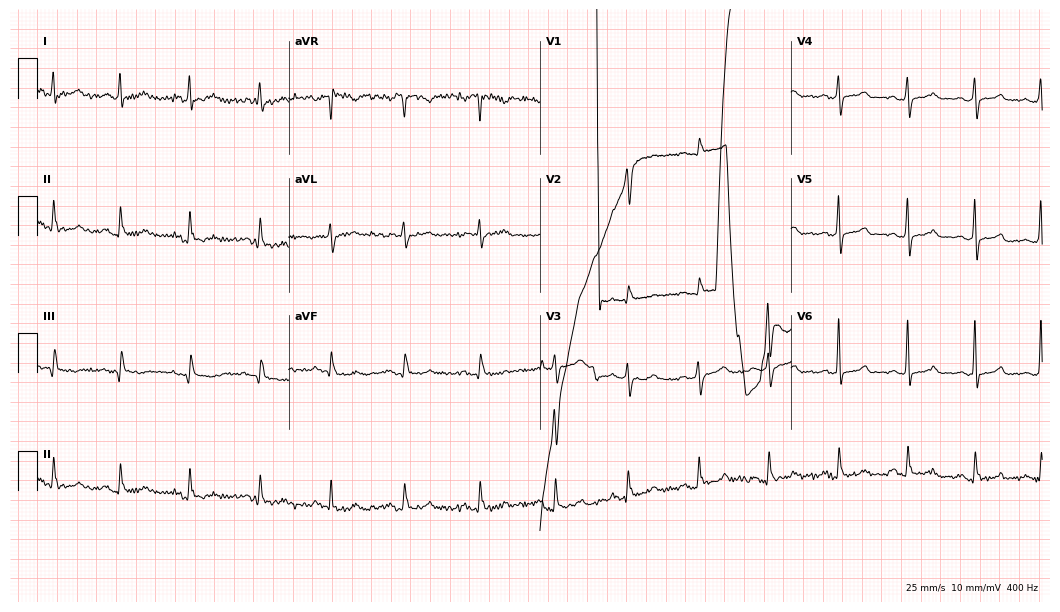
ECG — a male, 67 years old. Findings include atrial fibrillation.